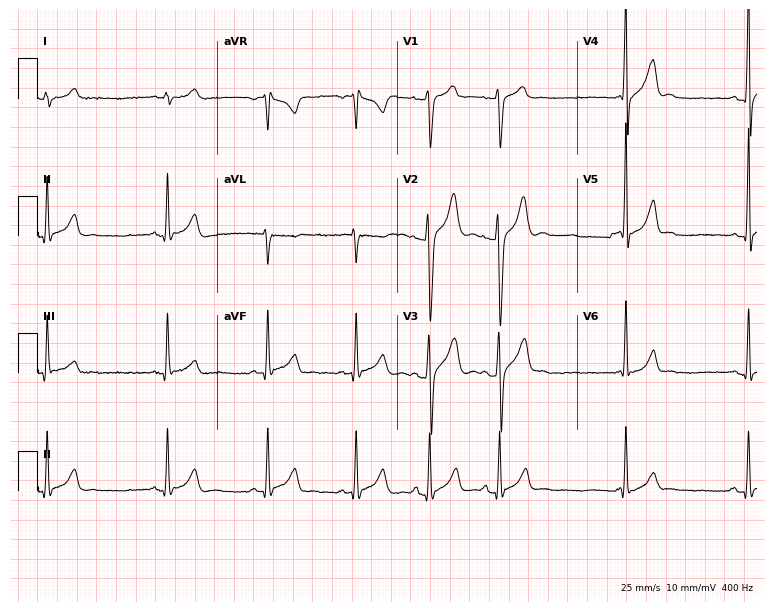
Electrocardiogram, a 31-year-old male patient. Overall reading on record: normal ECG.